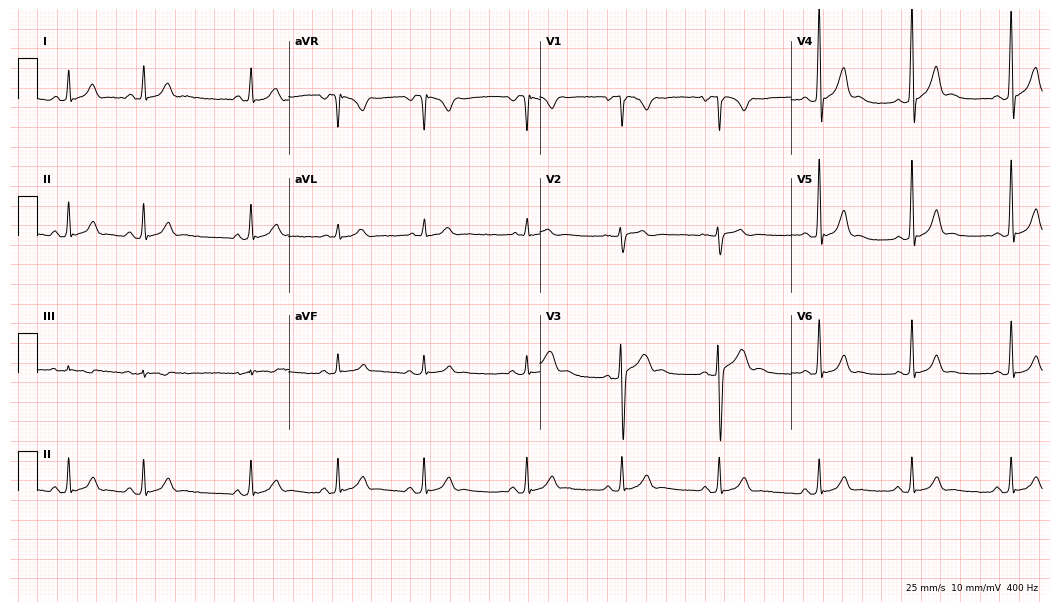
12-lead ECG (10.2-second recording at 400 Hz) from an 18-year-old male patient. Labelled as a normal ECG.